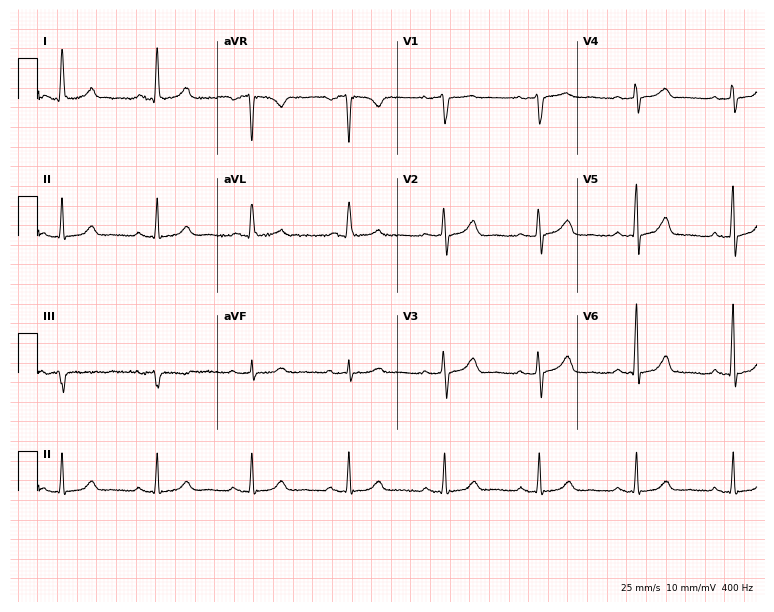
ECG (7.3-second recording at 400 Hz) — a female patient, 23 years old. Labelled as a normal ECG.